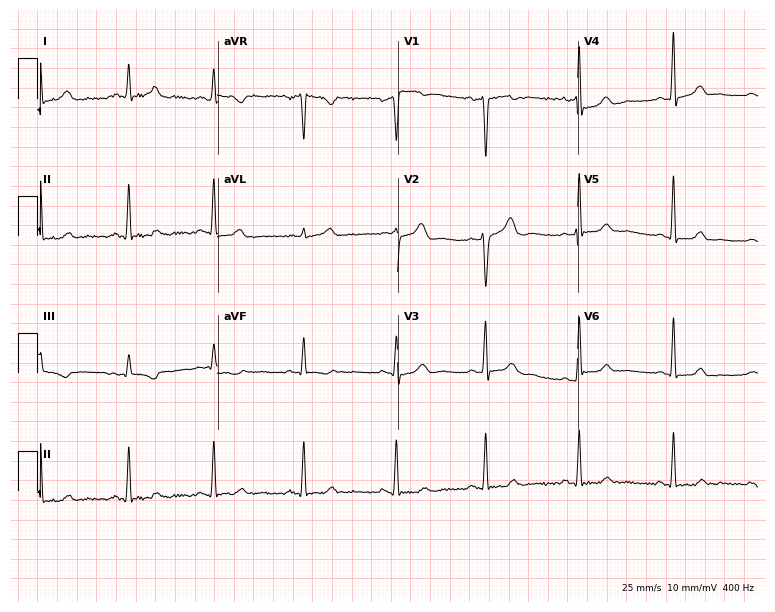
Standard 12-lead ECG recorded from a female, 42 years old. Read as a normal ECG.